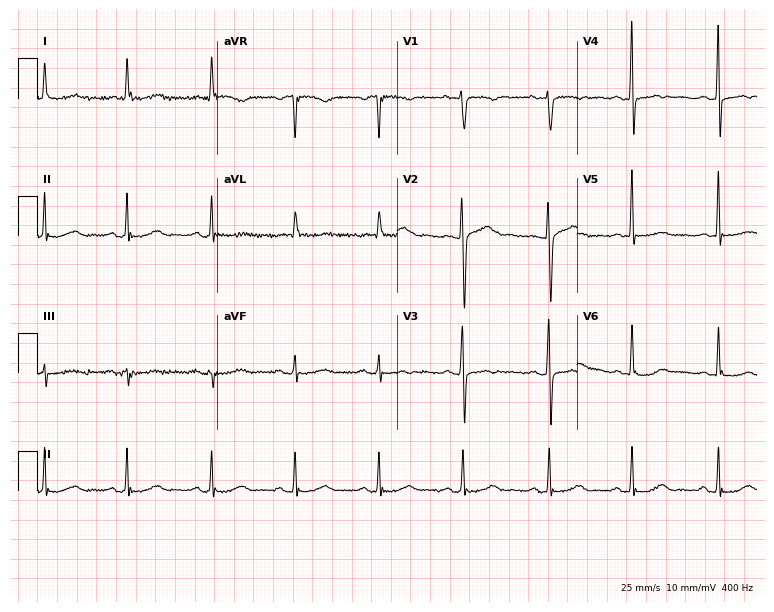
12-lead ECG (7.3-second recording at 400 Hz) from an 84-year-old female patient. Screened for six findings — first-degree AV block, right bundle branch block, left bundle branch block, sinus bradycardia, atrial fibrillation, sinus tachycardia — none is recorded. Other findings, if any, are not listed.